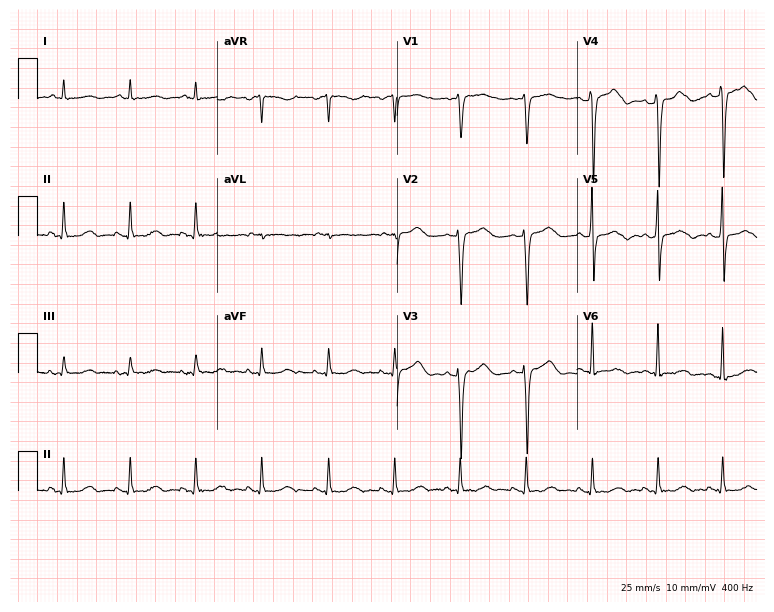
12-lead ECG from a male, 75 years old. Screened for six findings — first-degree AV block, right bundle branch block, left bundle branch block, sinus bradycardia, atrial fibrillation, sinus tachycardia — none is recorded.